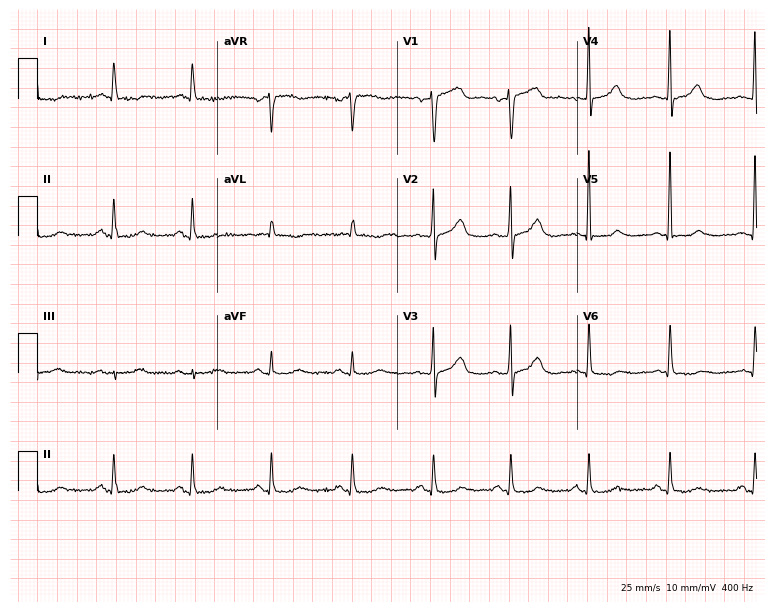
12-lead ECG from a female patient, 53 years old (7.3-second recording at 400 Hz). No first-degree AV block, right bundle branch block, left bundle branch block, sinus bradycardia, atrial fibrillation or sinus tachycardia recorded for this tracing.